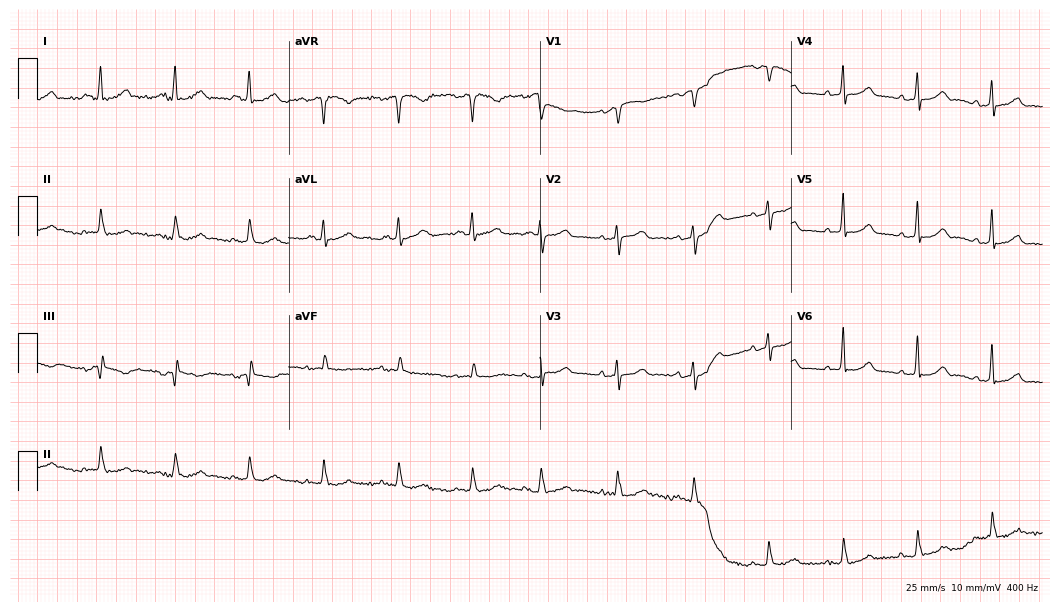
Resting 12-lead electrocardiogram (10.2-second recording at 400 Hz). Patient: a female, 79 years old. Read as a normal ECG.